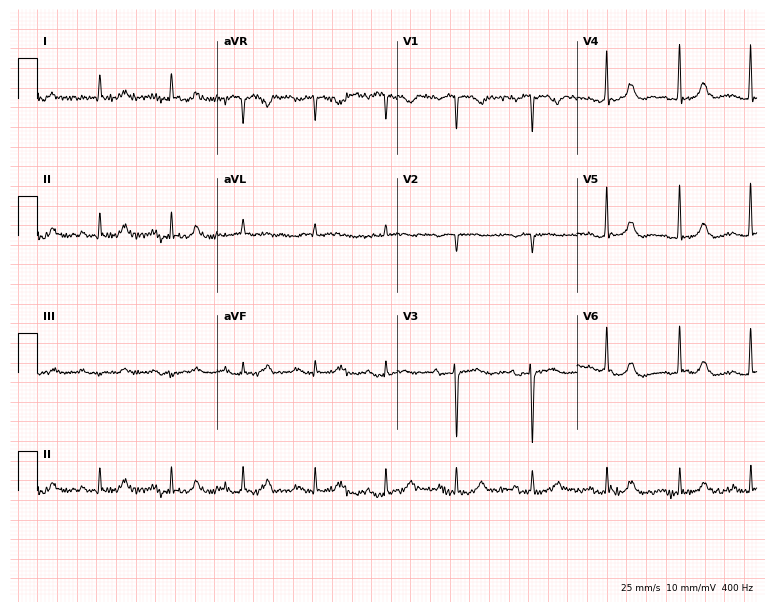
Electrocardiogram, an 81-year-old female. Of the six screened findings (first-degree AV block, right bundle branch block (RBBB), left bundle branch block (LBBB), sinus bradycardia, atrial fibrillation (AF), sinus tachycardia), none is recorded. Findings outside these six are not listed.